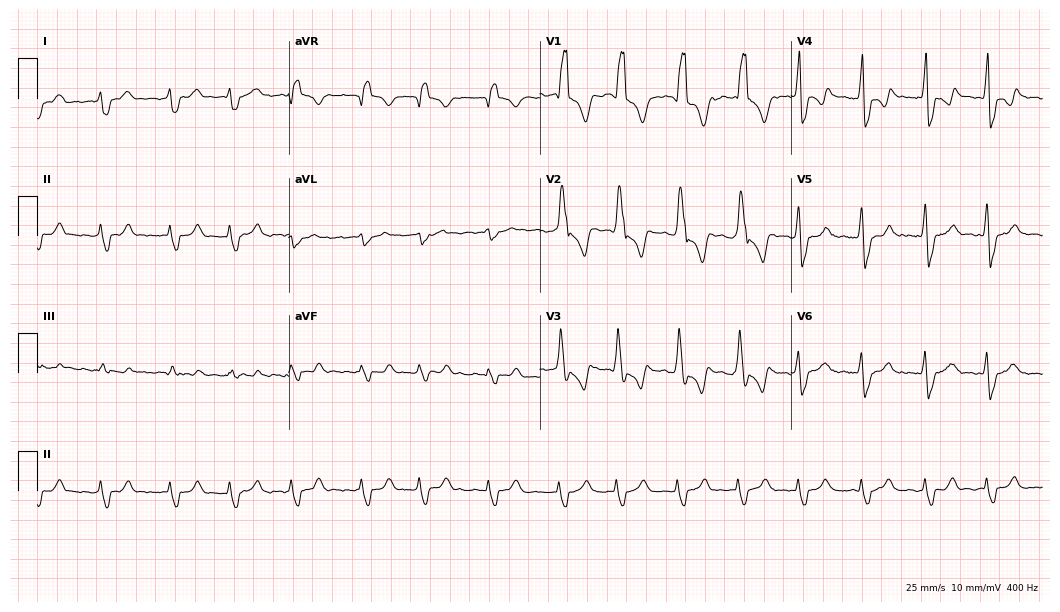
Electrocardiogram (10.2-second recording at 400 Hz), a male patient, 60 years old. Interpretation includes right bundle branch block (RBBB), atrial fibrillation (AF).